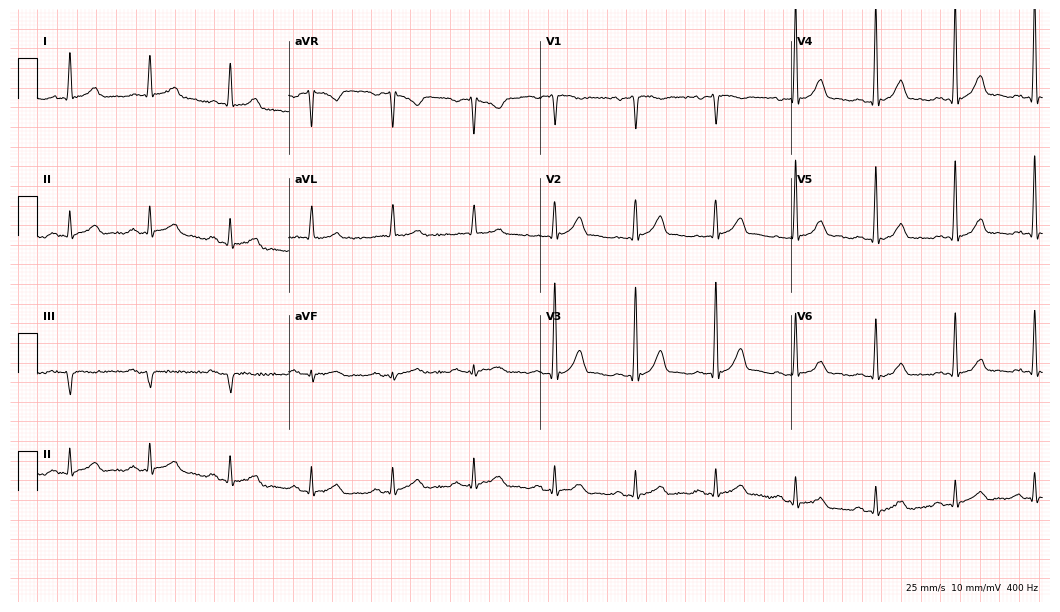
12-lead ECG from a male patient, 71 years old. Recorded interpretation: within normal limits.